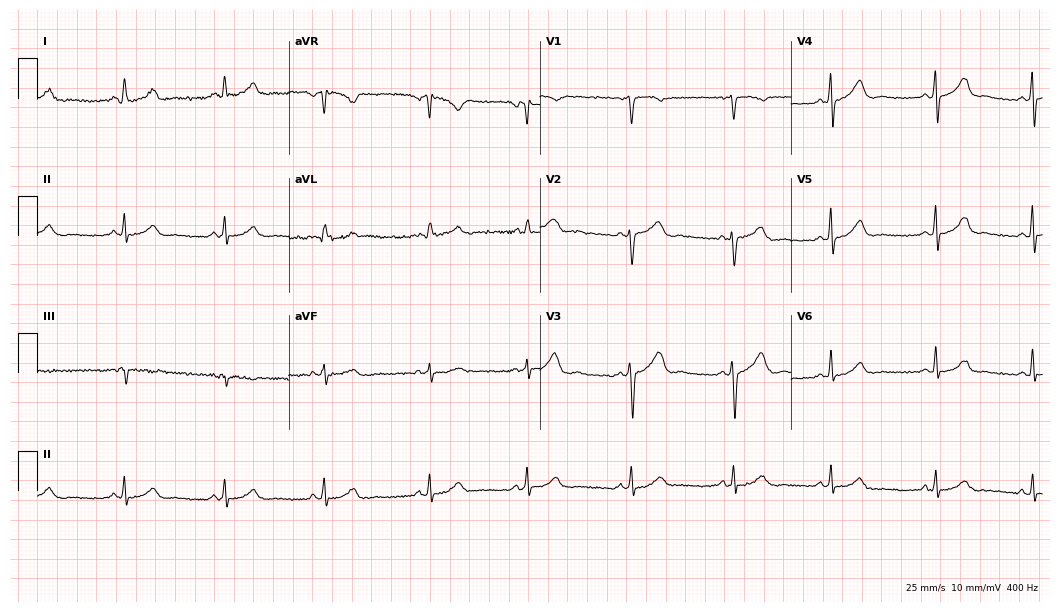
ECG (10.2-second recording at 400 Hz) — a 36-year-old female patient. Labelled as a normal ECG.